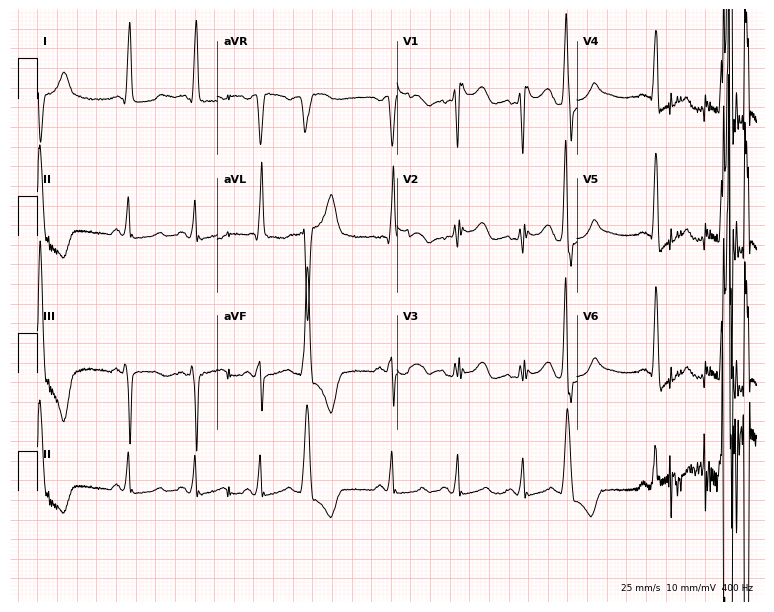
ECG (7.3-second recording at 400 Hz) — a 63-year-old female. Screened for six findings — first-degree AV block, right bundle branch block (RBBB), left bundle branch block (LBBB), sinus bradycardia, atrial fibrillation (AF), sinus tachycardia — none is recorded.